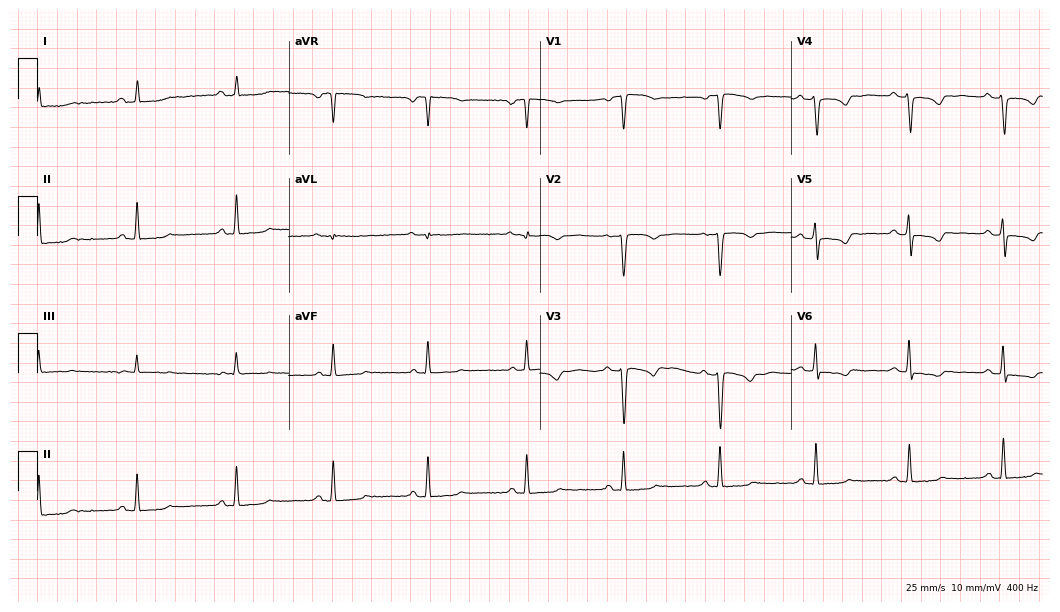
12-lead ECG from a 58-year-old female patient. Screened for six findings — first-degree AV block, right bundle branch block, left bundle branch block, sinus bradycardia, atrial fibrillation, sinus tachycardia — none is recorded. Findings outside these six are not listed.